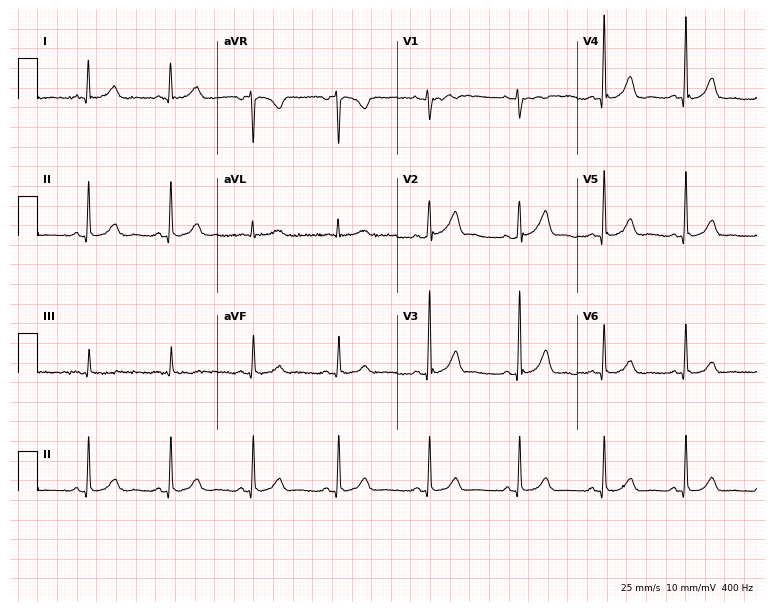
Standard 12-lead ECG recorded from a female, 42 years old. Read as a normal ECG.